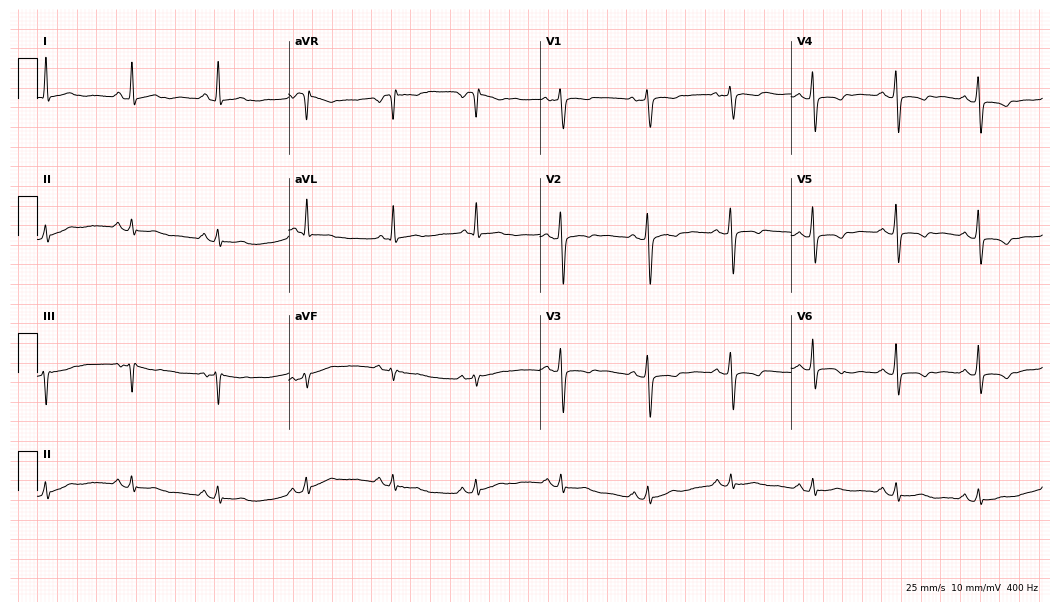
Electrocardiogram (10.2-second recording at 400 Hz), a 50-year-old female patient. Of the six screened findings (first-degree AV block, right bundle branch block, left bundle branch block, sinus bradycardia, atrial fibrillation, sinus tachycardia), none is recorded.